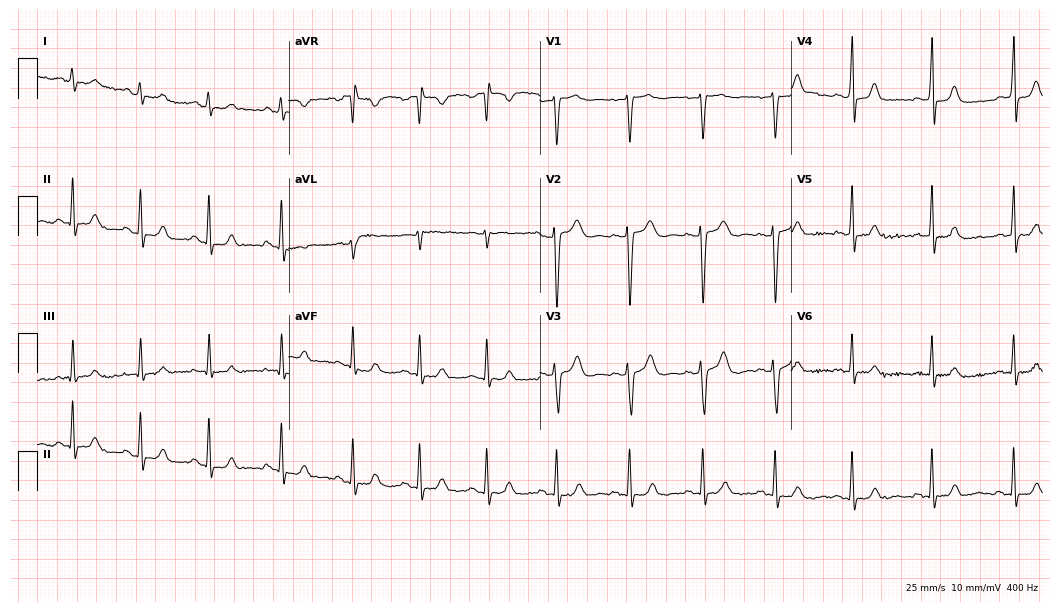
Electrocardiogram (10.2-second recording at 400 Hz), a woman, 19 years old. Overall reading on record: normal ECG.